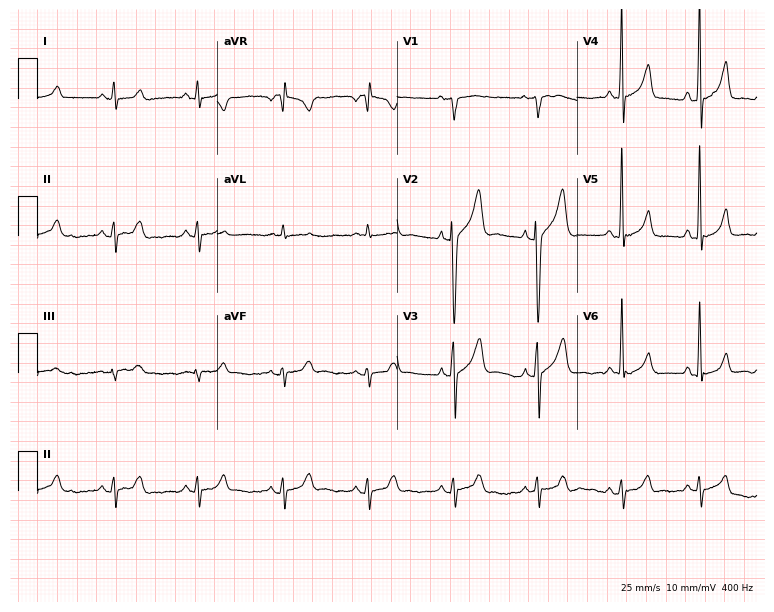
12-lead ECG (7.3-second recording at 400 Hz) from a 22-year-old male. Screened for six findings — first-degree AV block, right bundle branch block, left bundle branch block, sinus bradycardia, atrial fibrillation, sinus tachycardia — none is recorded. Only these six findings were labelled.